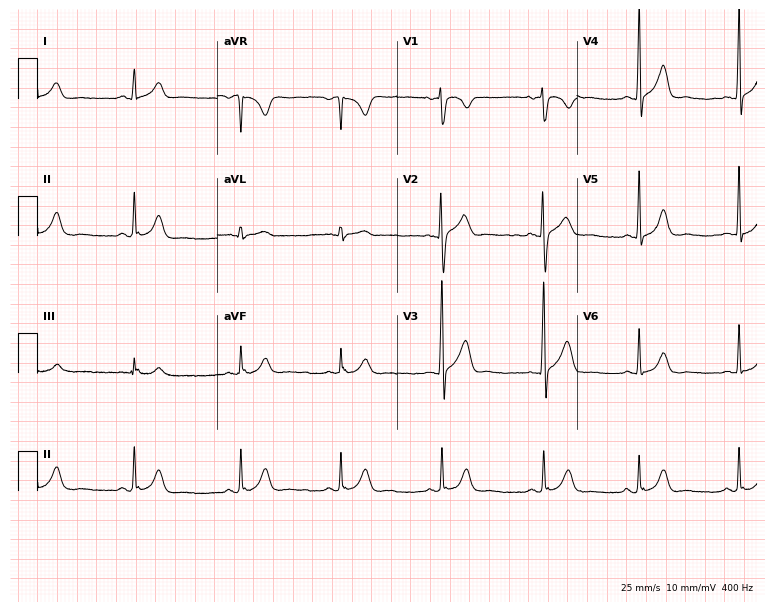
Electrocardiogram (7.3-second recording at 400 Hz), a male, 17 years old. Overall reading on record: normal ECG.